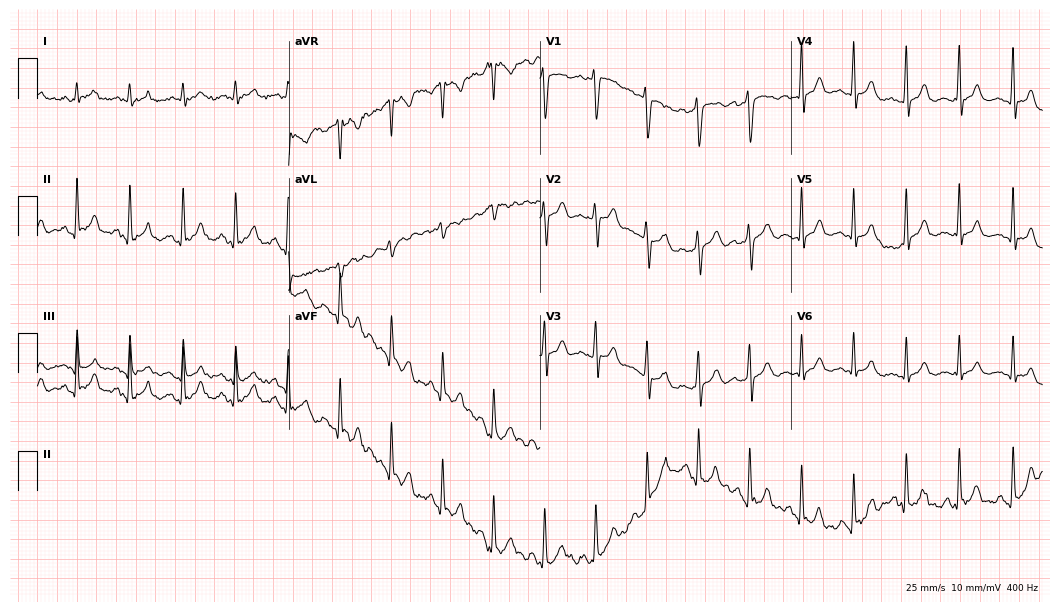
12-lead ECG (10.2-second recording at 400 Hz) from a 22-year-old man. Findings include sinus tachycardia (a sinus rate of 100 beats per minute or more).